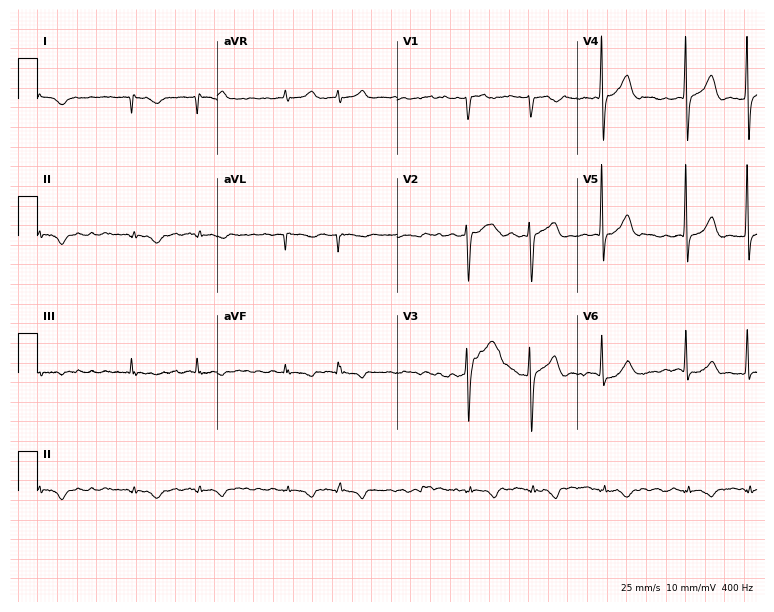
ECG (7.3-second recording at 400 Hz) — an 81-year-old male. Screened for six findings — first-degree AV block, right bundle branch block, left bundle branch block, sinus bradycardia, atrial fibrillation, sinus tachycardia — none is recorded. Findings outside these six are not listed.